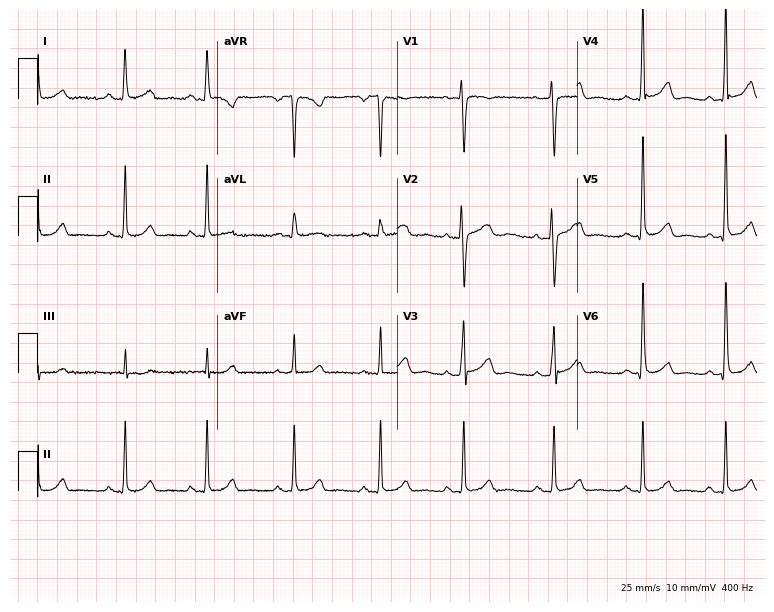
ECG — a female, 44 years old. Labelled as a normal ECG.